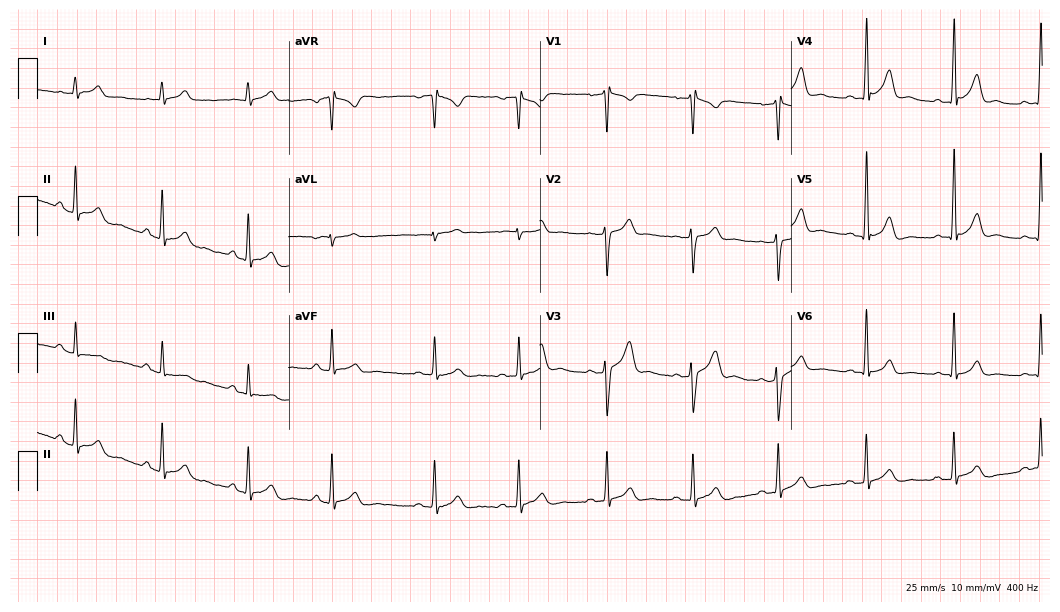
Electrocardiogram, a 38-year-old male patient. Overall reading on record: normal ECG.